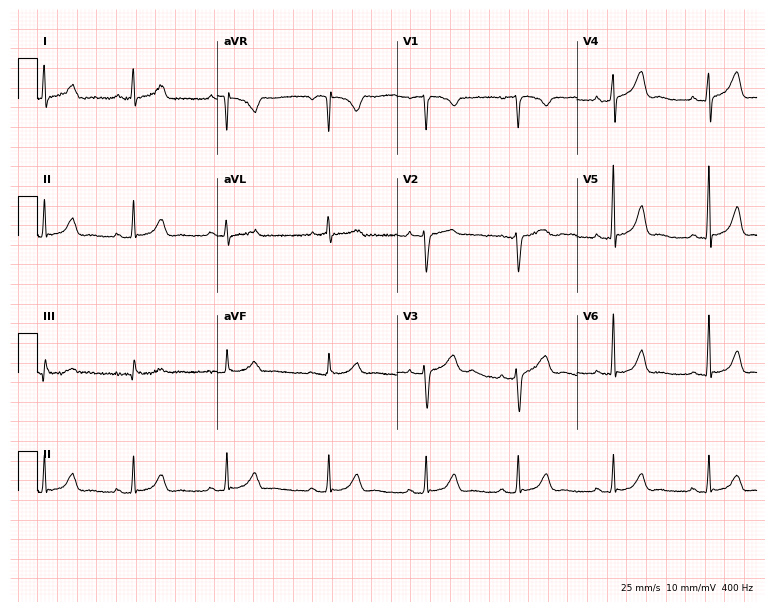
ECG (7.3-second recording at 400 Hz) — a 44-year-old woman. Labelled as a normal ECG.